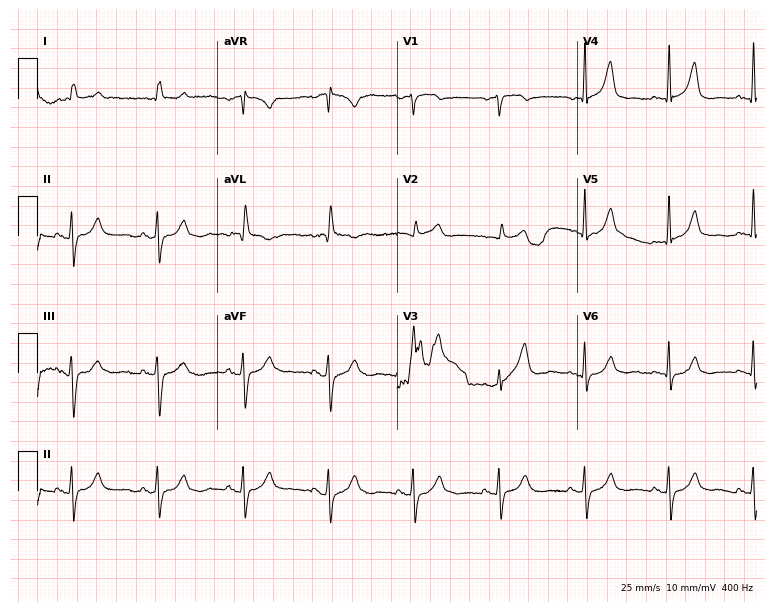
12-lead ECG from a man, 69 years old. Screened for six findings — first-degree AV block, right bundle branch block, left bundle branch block, sinus bradycardia, atrial fibrillation, sinus tachycardia — none is recorded. Findings outside these six are not listed.